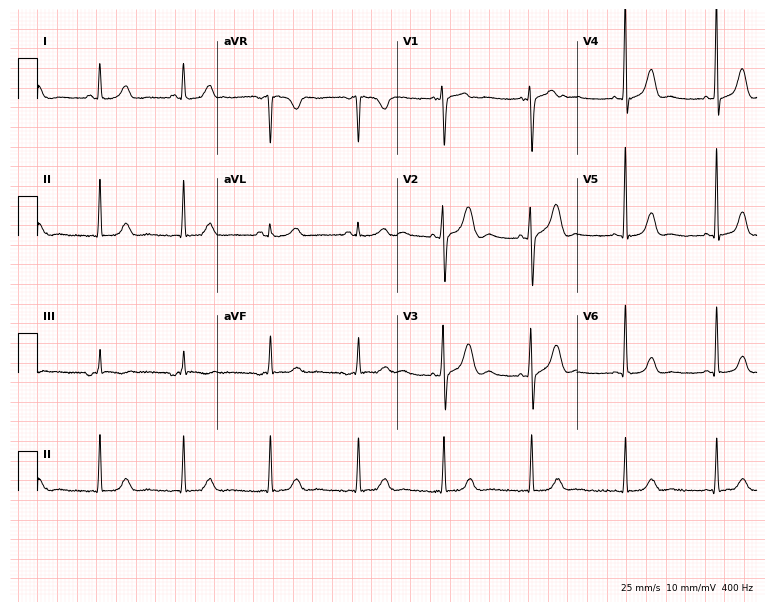
12-lead ECG (7.3-second recording at 400 Hz) from a 28-year-old female patient. Screened for six findings — first-degree AV block, right bundle branch block (RBBB), left bundle branch block (LBBB), sinus bradycardia, atrial fibrillation (AF), sinus tachycardia — none is recorded.